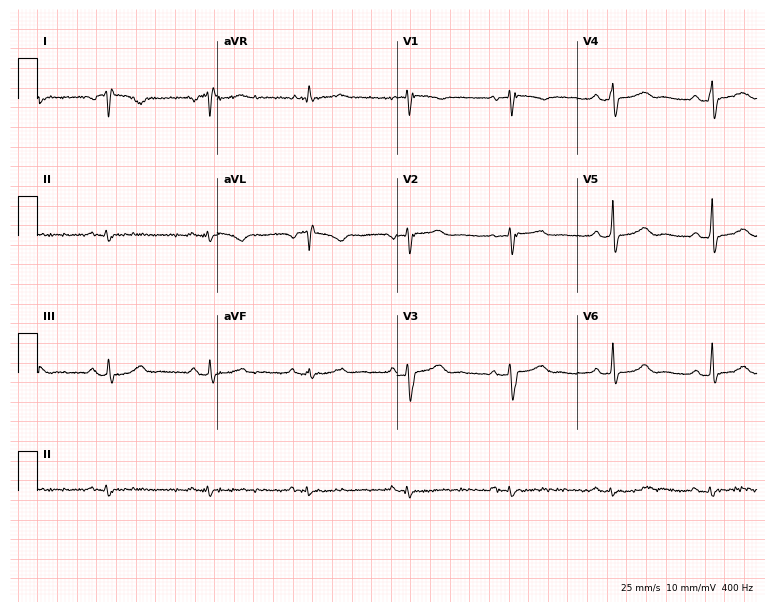
12-lead ECG from a 49-year-old female patient. Screened for six findings — first-degree AV block, right bundle branch block (RBBB), left bundle branch block (LBBB), sinus bradycardia, atrial fibrillation (AF), sinus tachycardia — none is recorded.